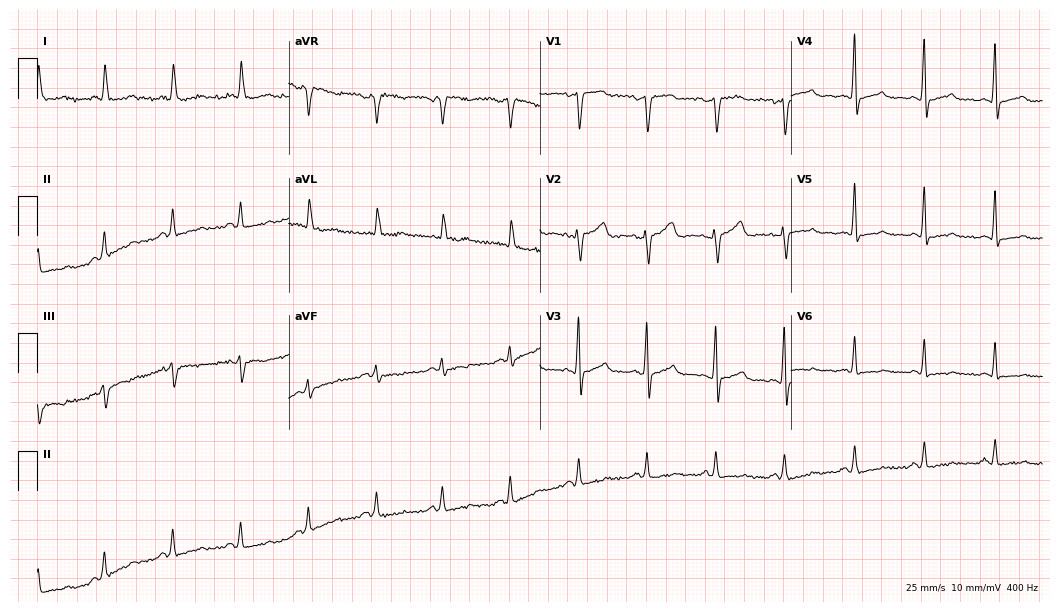
Electrocardiogram (10.2-second recording at 400 Hz), a 51-year-old woman. Of the six screened findings (first-degree AV block, right bundle branch block, left bundle branch block, sinus bradycardia, atrial fibrillation, sinus tachycardia), none is recorded.